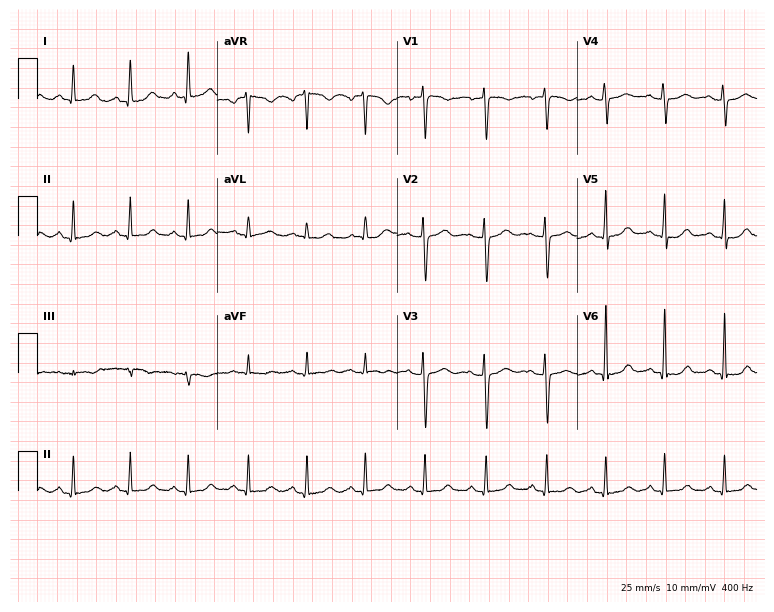
Standard 12-lead ECG recorded from a 30-year-old woman. None of these six findings is recorded: first-degree AV block, right bundle branch block (RBBB), left bundle branch block (LBBB), sinus bradycardia, atrial fibrillation (AF), sinus tachycardia. Only these six findings were labelled.